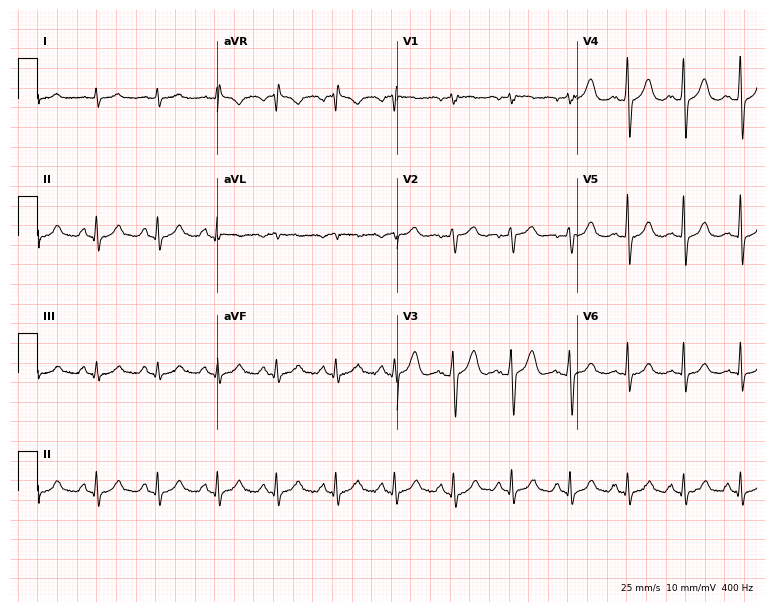
12-lead ECG from a male patient, 58 years old (7.3-second recording at 400 Hz). No first-degree AV block, right bundle branch block, left bundle branch block, sinus bradycardia, atrial fibrillation or sinus tachycardia recorded for this tracing.